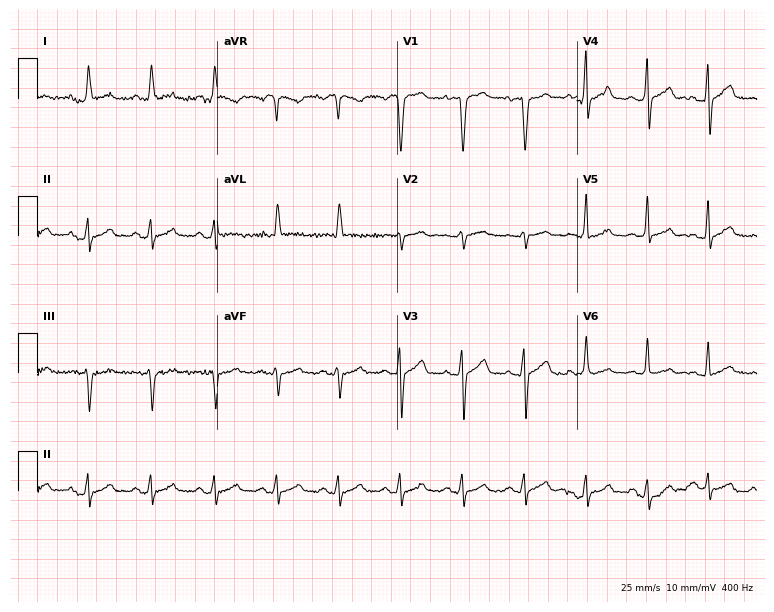
Resting 12-lead electrocardiogram (7.3-second recording at 400 Hz). Patient: a 56-year-old male. None of these six findings is recorded: first-degree AV block, right bundle branch block (RBBB), left bundle branch block (LBBB), sinus bradycardia, atrial fibrillation (AF), sinus tachycardia. Other findings, if any, are not listed.